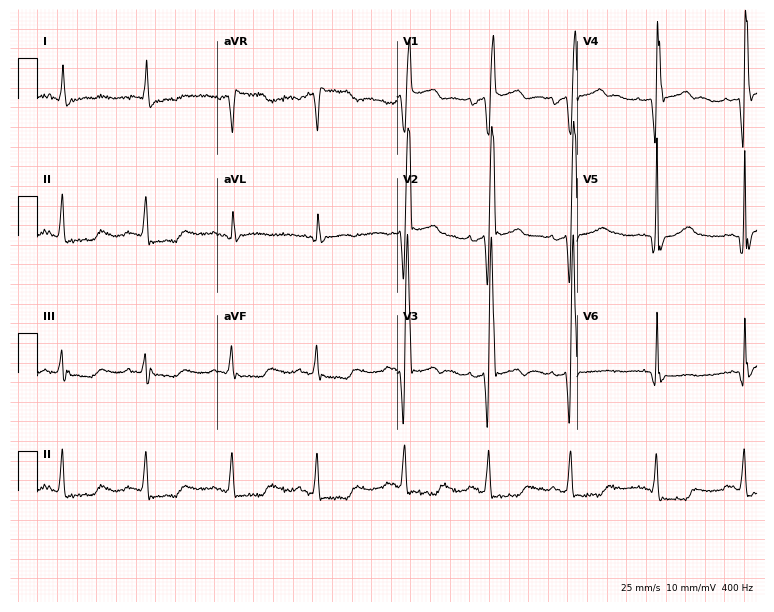
ECG (7.3-second recording at 400 Hz) — a male, 81 years old. Screened for six findings — first-degree AV block, right bundle branch block (RBBB), left bundle branch block (LBBB), sinus bradycardia, atrial fibrillation (AF), sinus tachycardia — none is recorded.